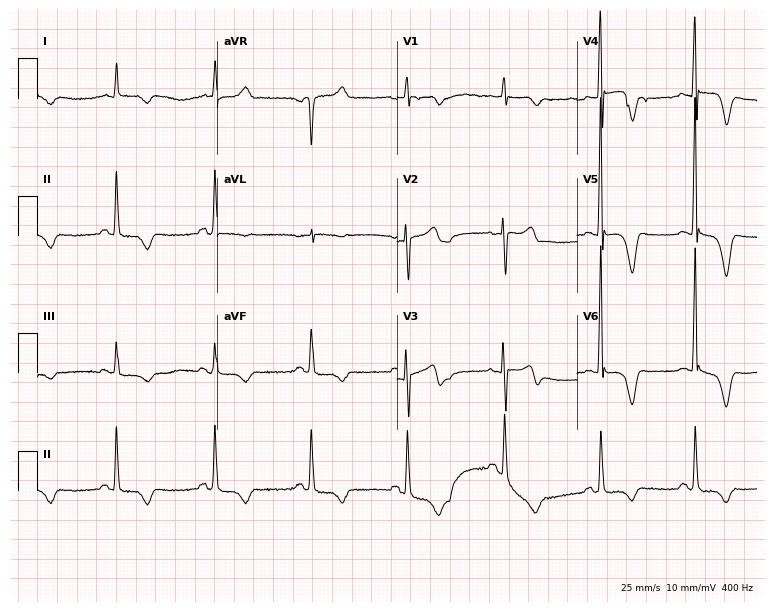
Standard 12-lead ECG recorded from a 63-year-old man. None of these six findings is recorded: first-degree AV block, right bundle branch block, left bundle branch block, sinus bradycardia, atrial fibrillation, sinus tachycardia. Findings outside these six are not listed.